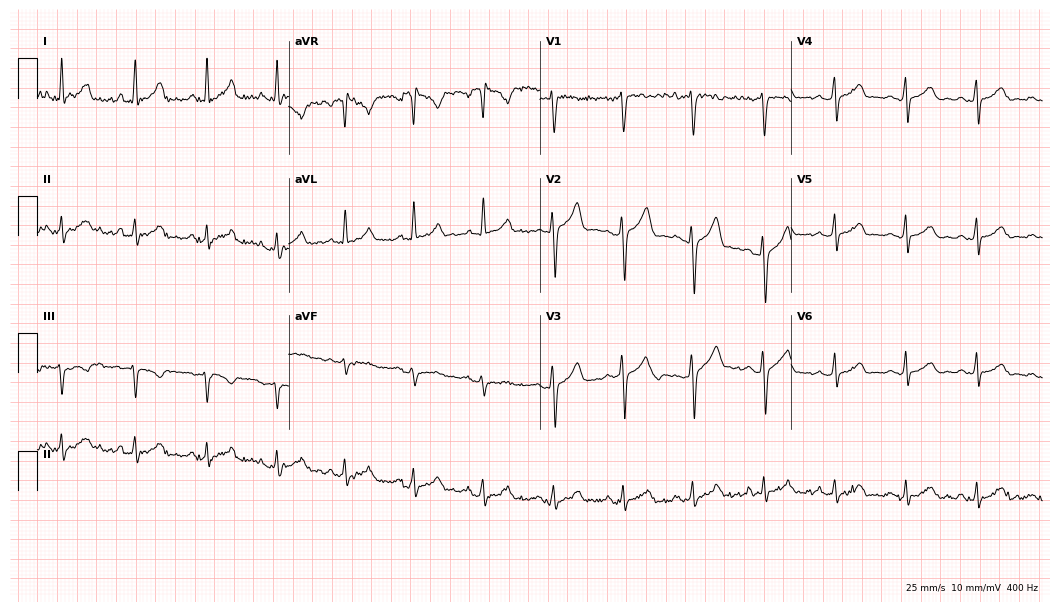
12-lead ECG from a male, 33 years old (10.2-second recording at 400 Hz). Recorded interpretation: within normal limits.